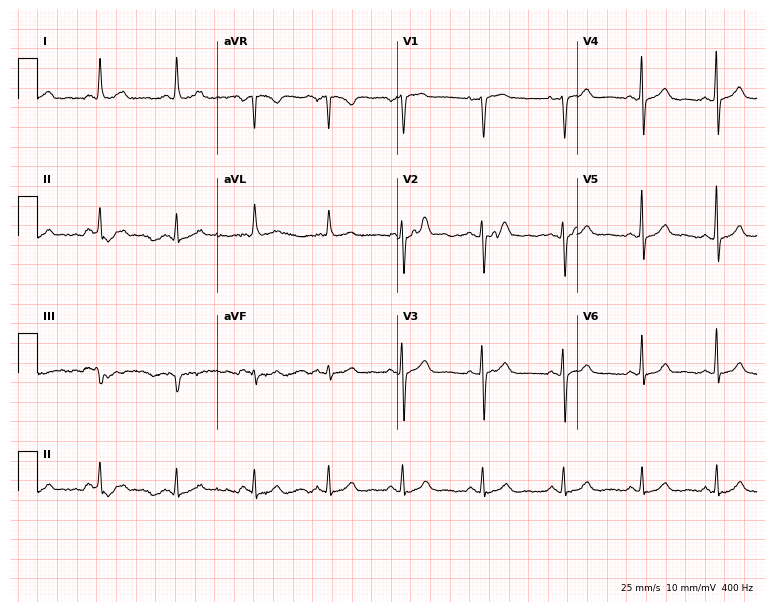
12-lead ECG (7.3-second recording at 400 Hz) from a woman, 54 years old. Labelled as a normal ECG.